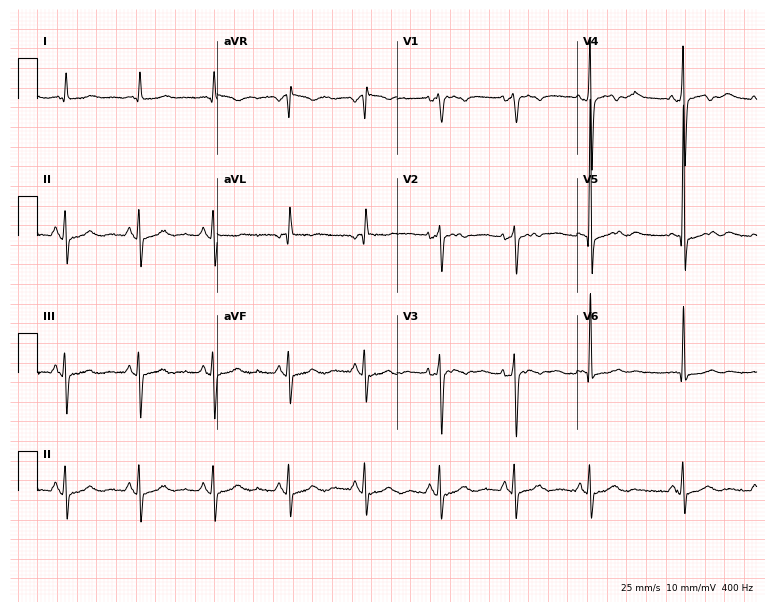
Resting 12-lead electrocardiogram. Patient: a female, 71 years old. None of these six findings is recorded: first-degree AV block, right bundle branch block, left bundle branch block, sinus bradycardia, atrial fibrillation, sinus tachycardia.